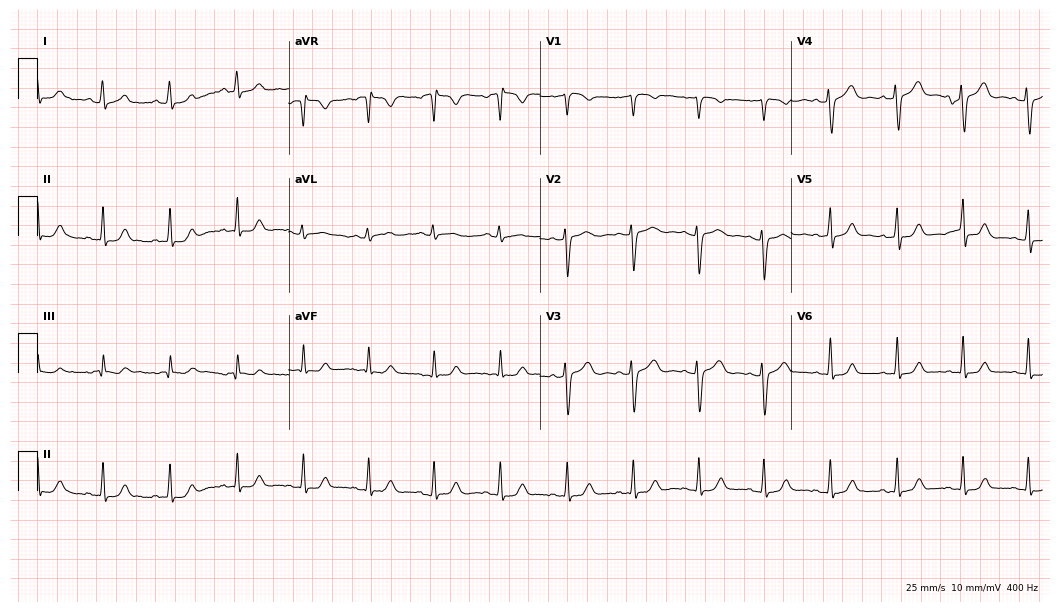
ECG — a woman, 17 years old. Labelled as a normal ECG.